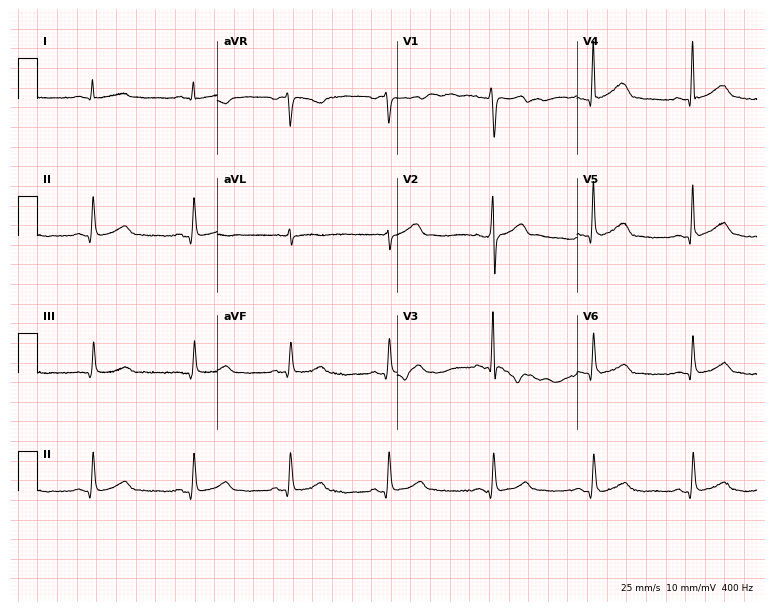
12-lead ECG from a 45-year-old male patient. Labelled as a normal ECG.